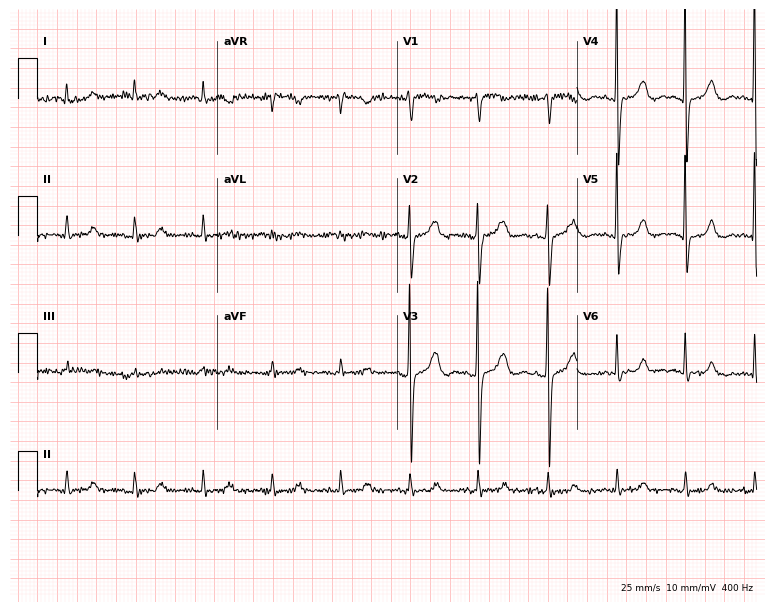
12-lead ECG from an 85-year-old female. No first-degree AV block, right bundle branch block (RBBB), left bundle branch block (LBBB), sinus bradycardia, atrial fibrillation (AF) or sinus tachycardia recorded for this tracing. Only these six findings were labelled.